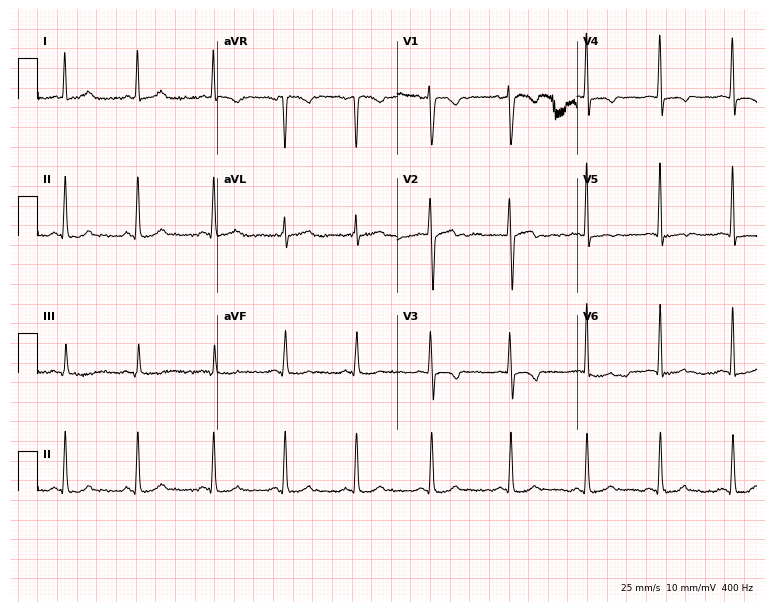
Electrocardiogram, a female, 25 years old. Of the six screened findings (first-degree AV block, right bundle branch block, left bundle branch block, sinus bradycardia, atrial fibrillation, sinus tachycardia), none is recorded. Findings outside these six are not listed.